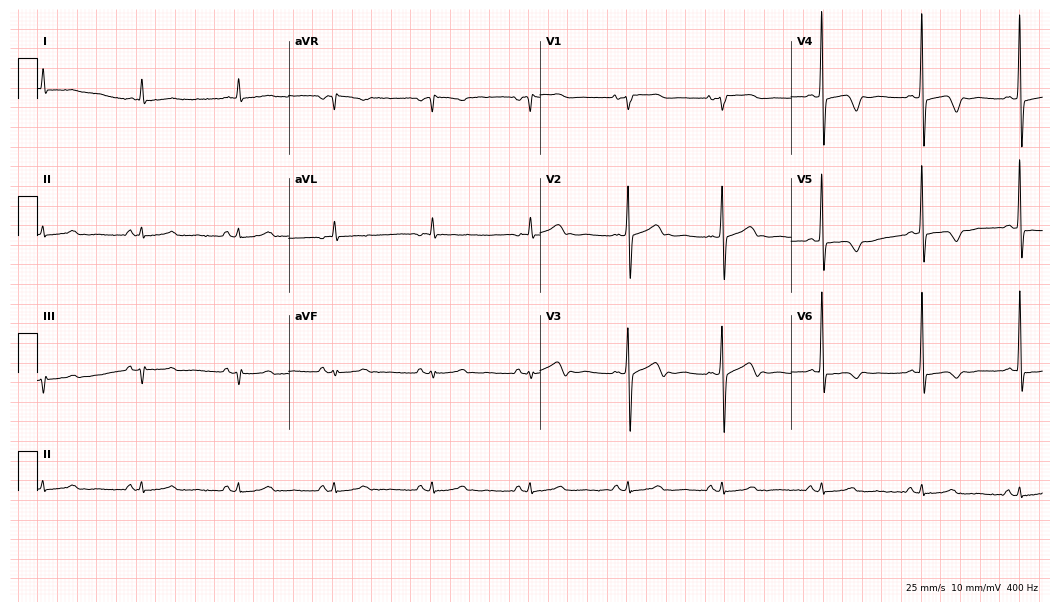
Electrocardiogram, an 83-year-old female. Of the six screened findings (first-degree AV block, right bundle branch block, left bundle branch block, sinus bradycardia, atrial fibrillation, sinus tachycardia), none is recorded. Only these six findings were labelled.